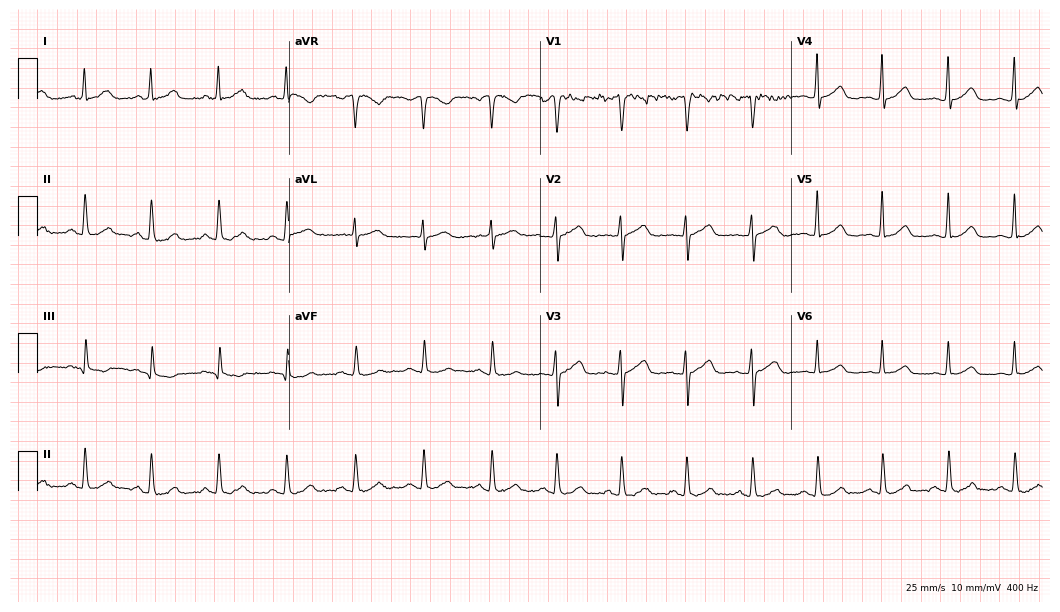
Electrocardiogram, a 62-year-old female patient. Overall reading on record: normal ECG.